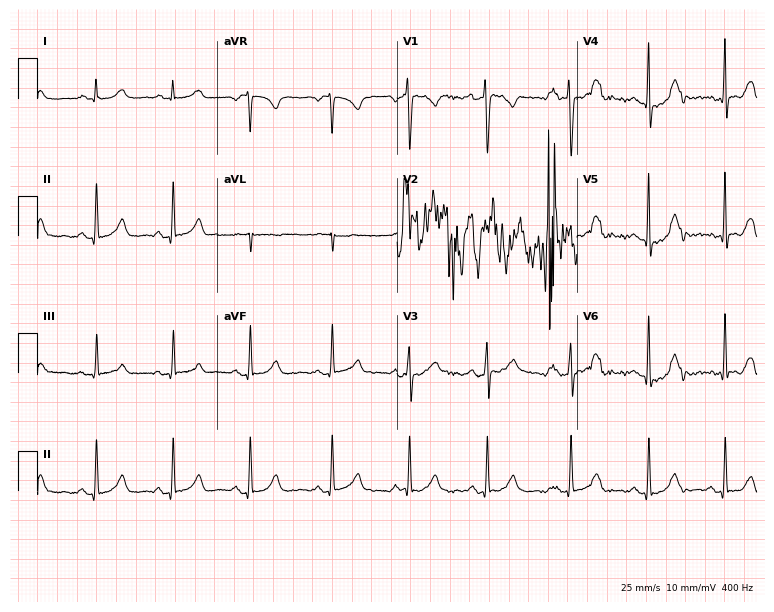
Resting 12-lead electrocardiogram. Patient: a 24-year-old woman. None of these six findings is recorded: first-degree AV block, right bundle branch block (RBBB), left bundle branch block (LBBB), sinus bradycardia, atrial fibrillation (AF), sinus tachycardia.